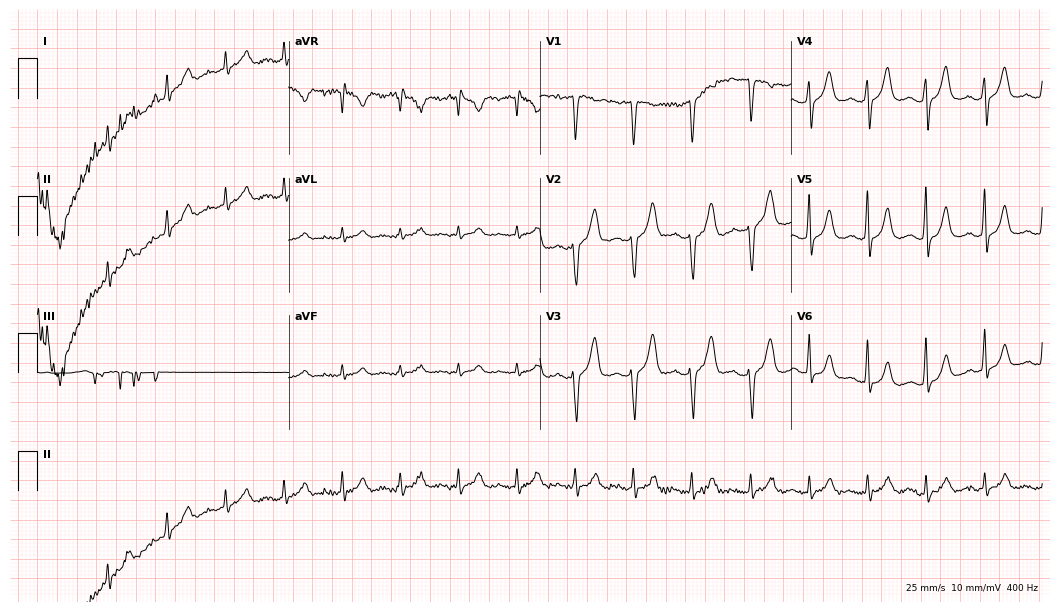
Electrocardiogram, a 45-year-old woman. Overall reading on record: normal ECG.